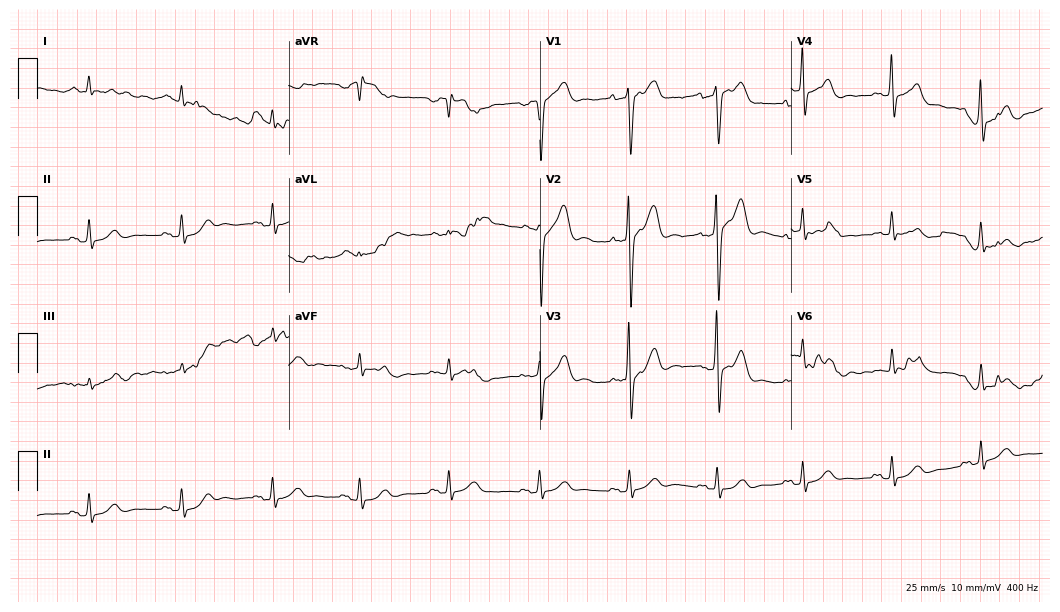
Electrocardiogram (10.2-second recording at 400 Hz), a man, 78 years old. Of the six screened findings (first-degree AV block, right bundle branch block, left bundle branch block, sinus bradycardia, atrial fibrillation, sinus tachycardia), none is recorded.